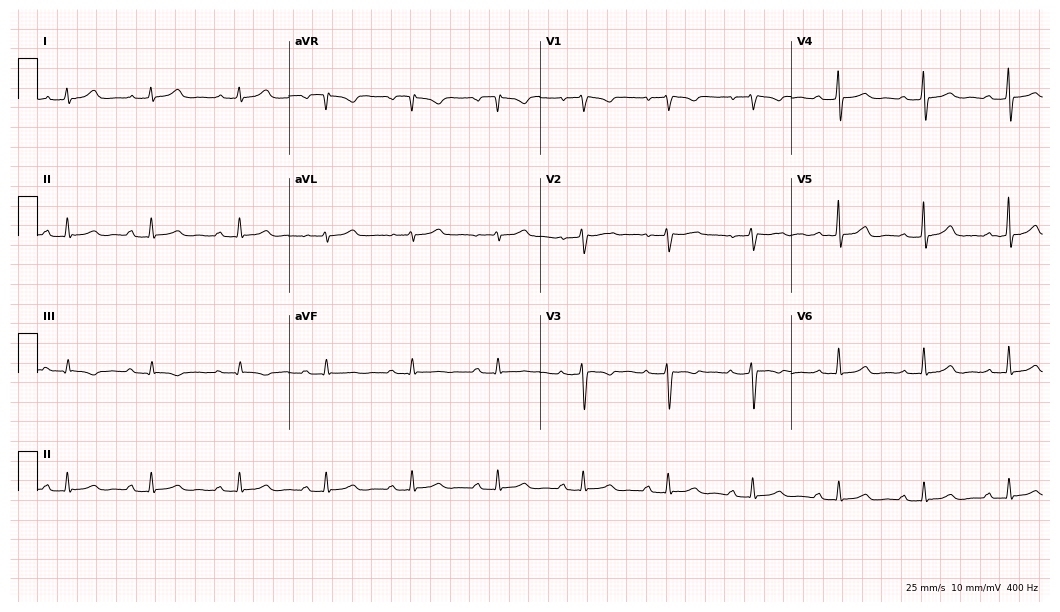
Electrocardiogram, a 39-year-old woman. Of the six screened findings (first-degree AV block, right bundle branch block, left bundle branch block, sinus bradycardia, atrial fibrillation, sinus tachycardia), none is recorded. Other findings, if any, are not listed.